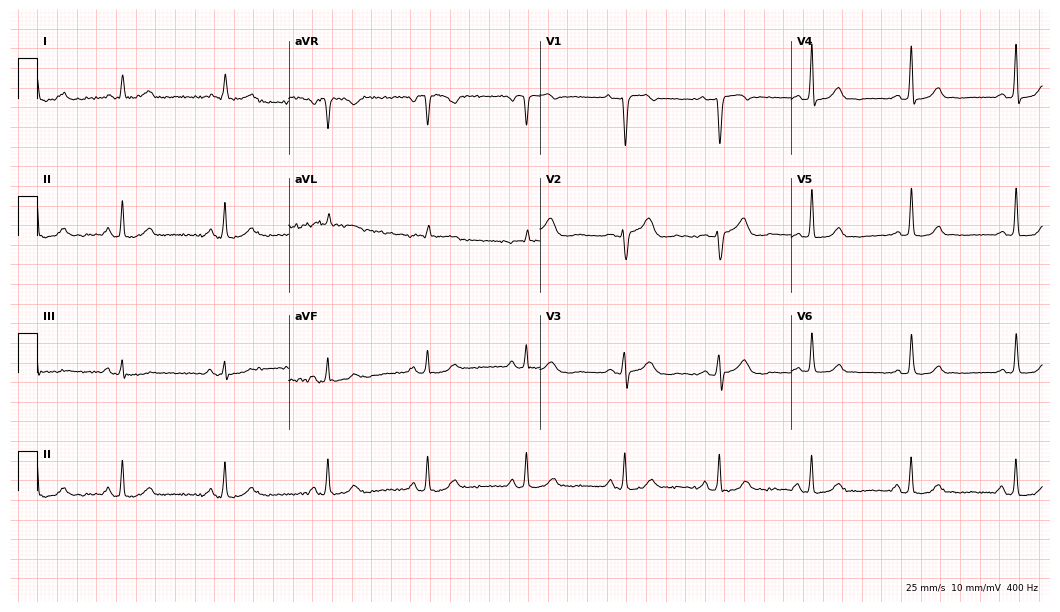
Electrocardiogram, a 59-year-old female patient. Overall reading on record: normal ECG.